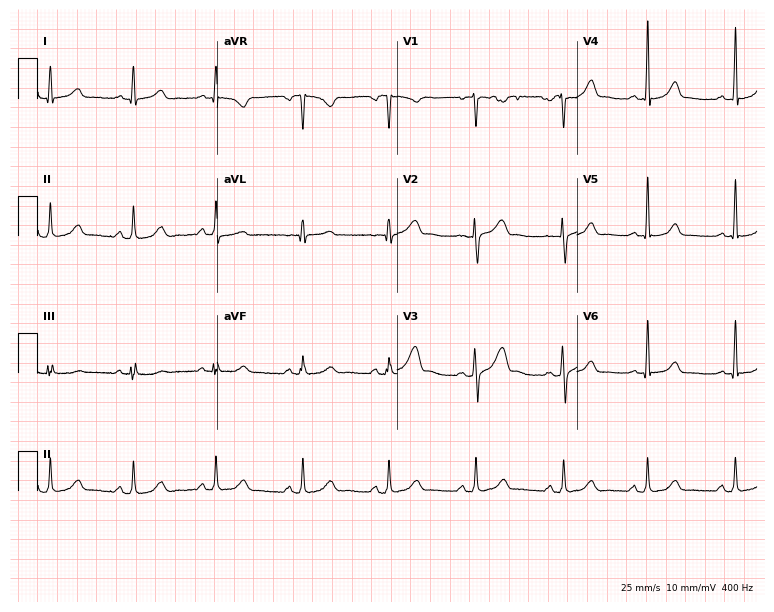
12-lead ECG from a 29-year-old female. Labelled as a normal ECG.